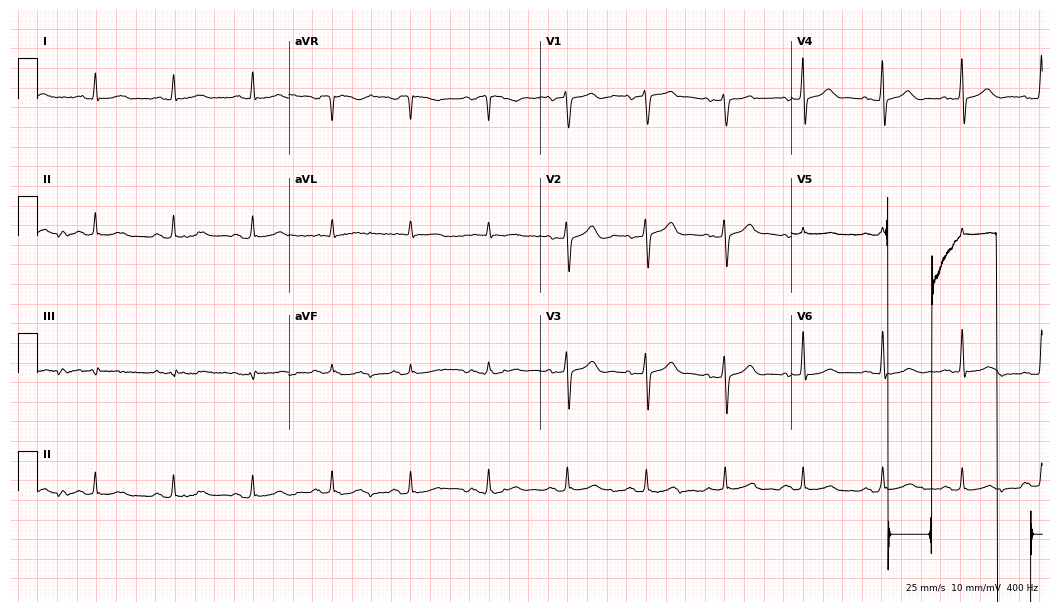
ECG (10.2-second recording at 400 Hz) — a 75-year-old male. Screened for six findings — first-degree AV block, right bundle branch block, left bundle branch block, sinus bradycardia, atrial fibrillation, sinus tachycardia — none is recorded. Only these six findings were labelled.